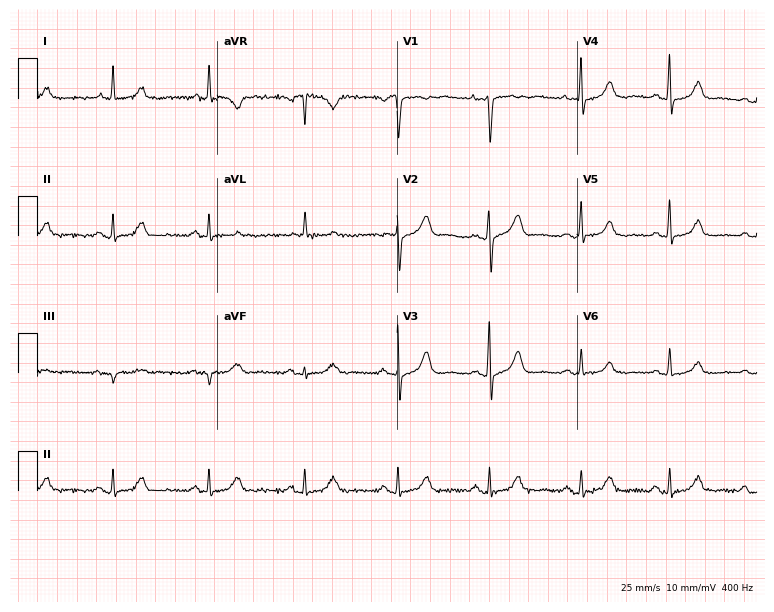
12-lead ECG (7.3-second recording at 400 Hz) from a female patient, 72 years old. Labelled as a normal ECG.